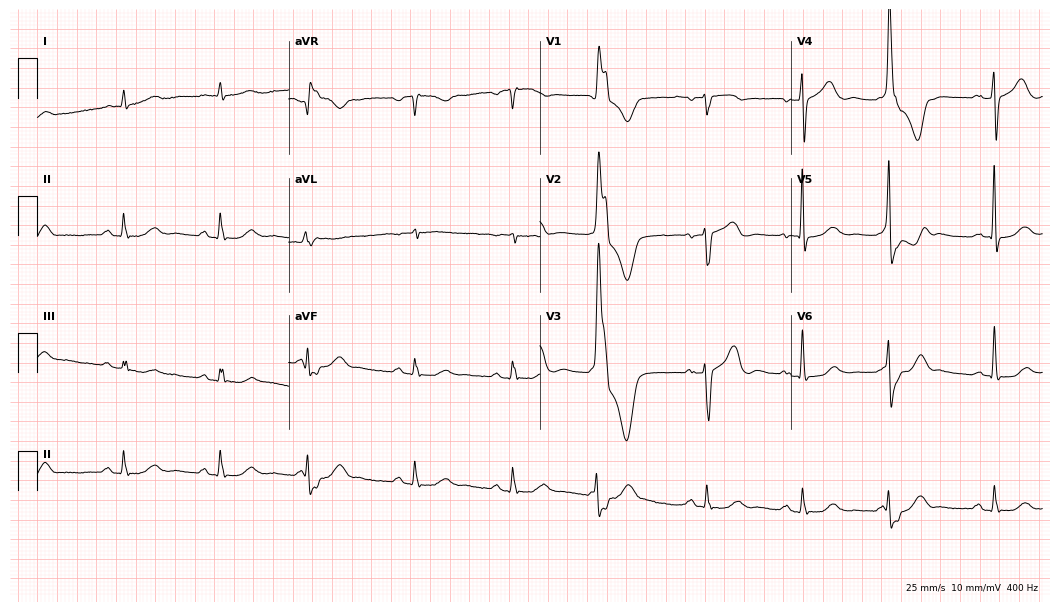
12-lead ECG from a 76-year-old man. No first-degree AV block, right bundle branch block, left bundle branch block, sinus bradycardia, atrial fibrillation or sinus tachycardia recorded for this tracing. Only these six findings were labelled.